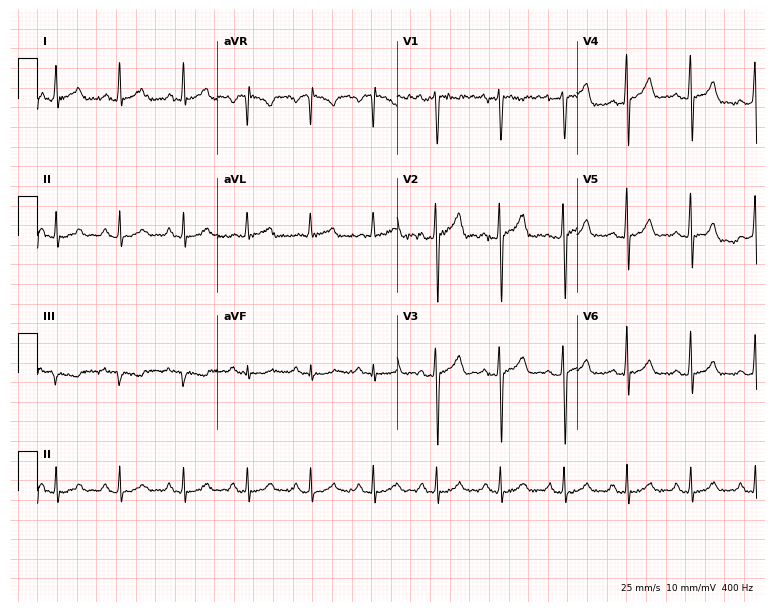
Standard 12-lead ECG recorded from a 61-year-old man (7.3-second recording at 400 Hz). Read as a normal ECG.